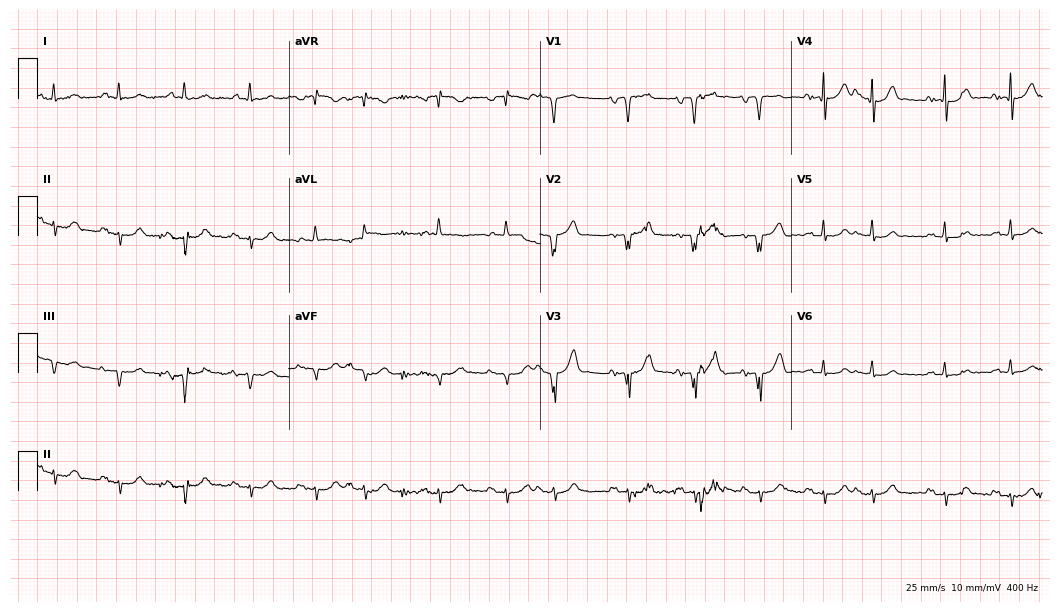
12-lead ECG from an 81-year-old man. Screened for six findings — first-degree AV block, right bundle branch block, left bundle branch block, sinus bradycardia, atrial fibrillation, sinus tachycardia — none is recorded.